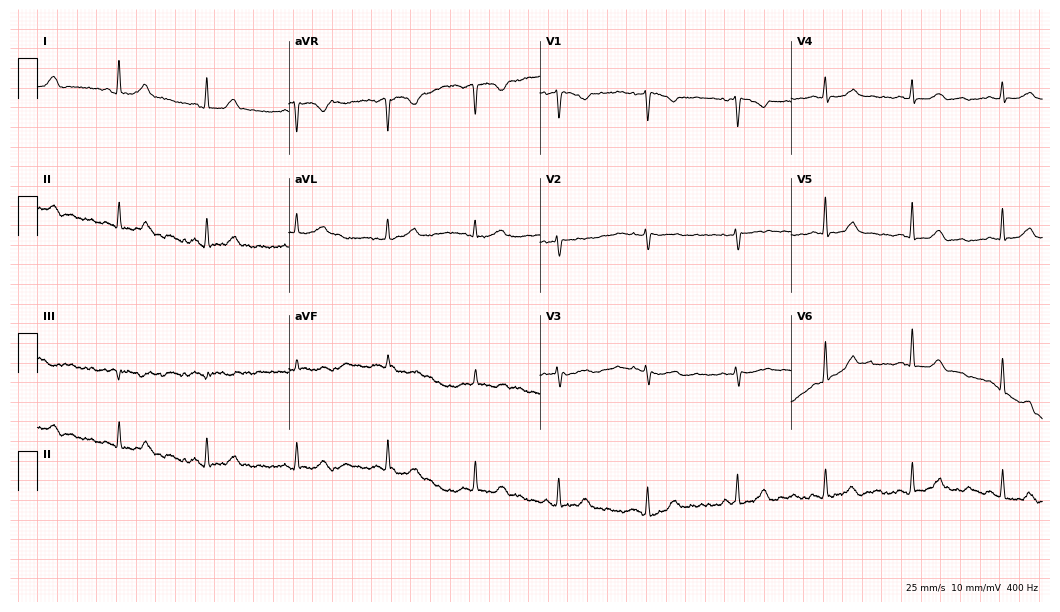
ECG — a female patient, 61 years old. Screened for six findings — first-degree AV block, right bundle branch block, left bundle branch block, sinus bradycardia, atrial fibrillation, sinus tachycardia — none is recorded. Other findings, if any, are not listed.